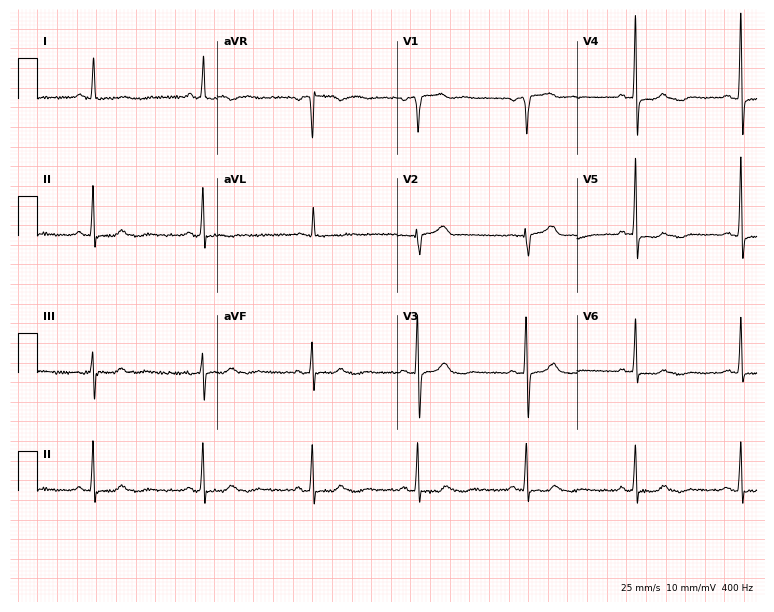
Resting 12-lead electrocardiogram (7.3-second recording at 400 Hz). Patient: a 65-year-old woman. None of these six findings is recorded: first-degree AV block, right bundle branch block, left bundle branch block, sinus bradycardia, atrial fibrillation, sinus tachycardia.